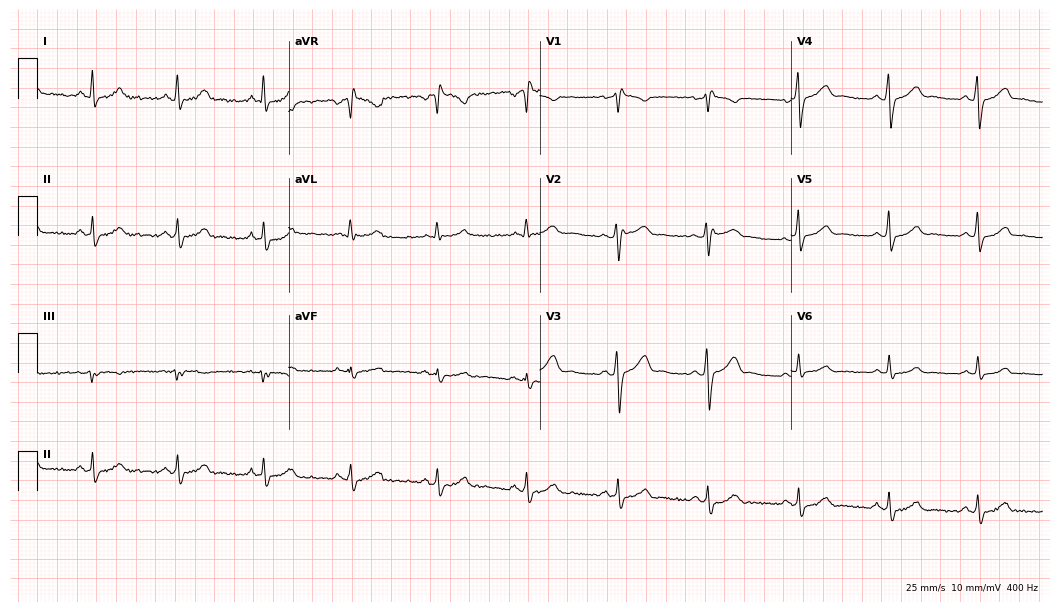
12-lead ECG from a male, 39 years old (10.2-second recording at 400 Hz). No first-degree AV block, right bundle branch block, left bundle branch block, sinus bradycardia, atrial fibrillation or sinus tachycardia recorded for this tracing.